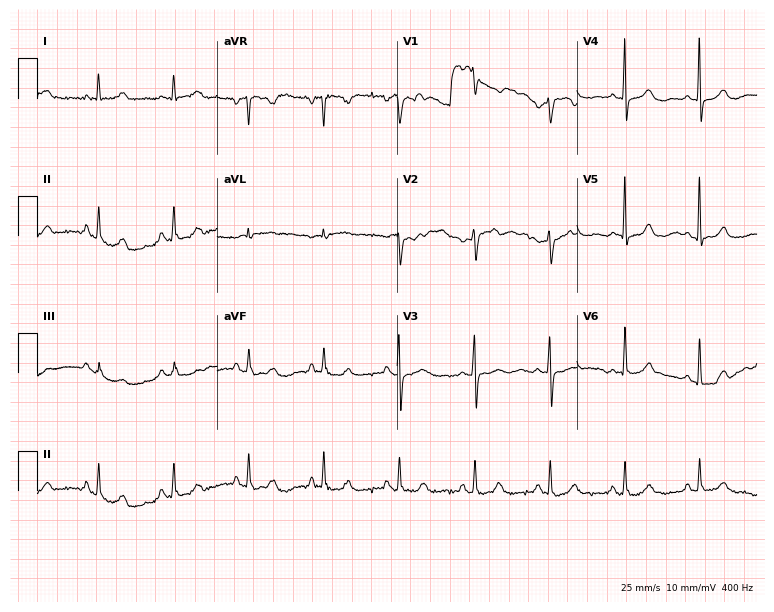
12-lead ECG from a female patient, 74 years old. Recorded interpretation: within normal limits.